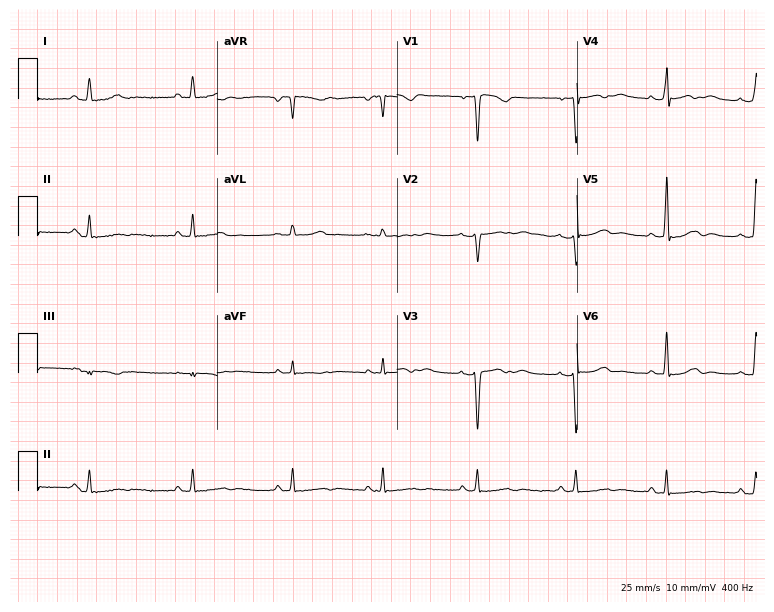
Standard 12-lead ECG recorded from a female patient, 30 years old. None of these six findings is recorded: first-degree AV block, right bundle branch block (RBBB), left bundle branch block (LBBB), sinus bradycardia, atrial fibrillation (AF), sinus tachycardia.